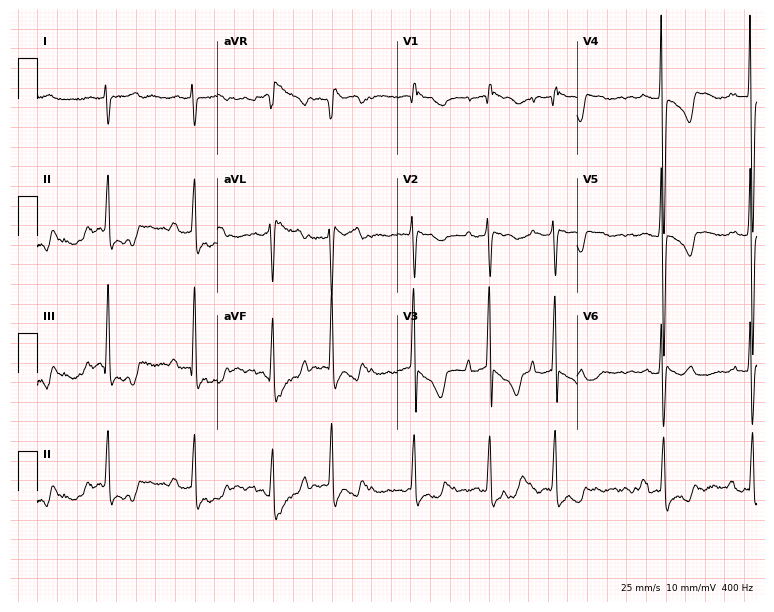
Resting 12-lead electrocardiogram (7.3-second recording at 400 Hz). Patient: a 76-year-old female. The tracing shows right bundle branch block.